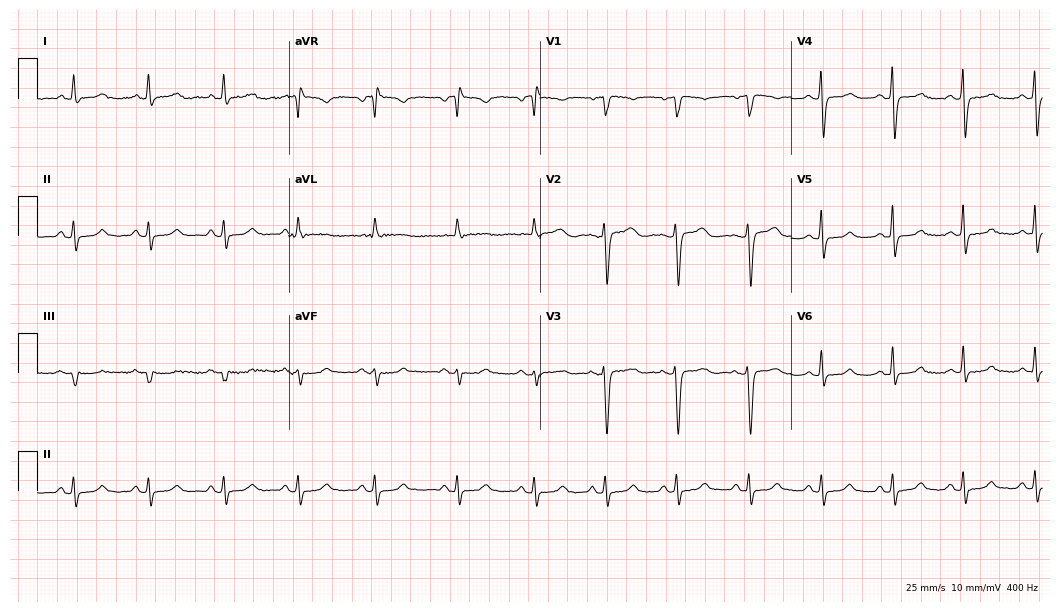
Standard 12-lead ECG recorded from a woman, 57 years old. None of these six findings is recorded: first-degree AV block, right bundle branch block (RBBB), left bundle branch block (LBBB), sinus bradycardia, atrial fibrillation (AF), sinus tachycardia.